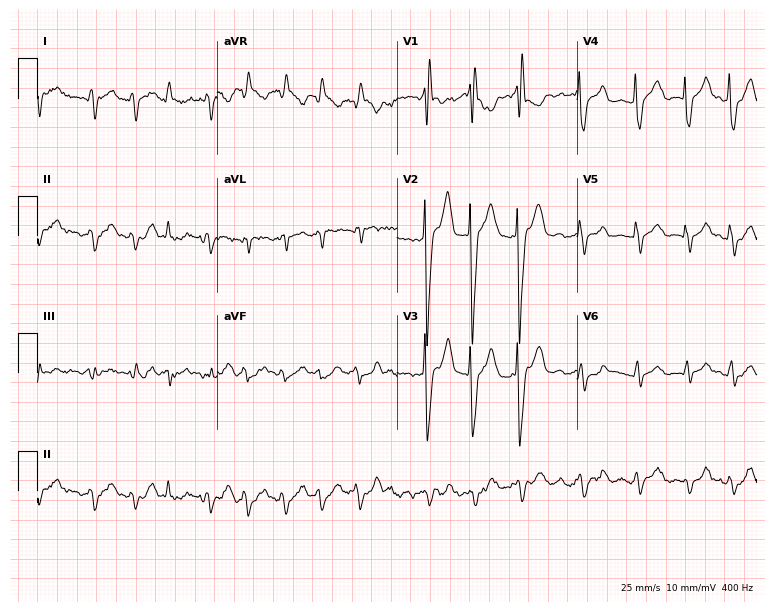
Standard 12-lead ECG recorded from a male patient, 69 years old. The tracing shows right bundle branch block.